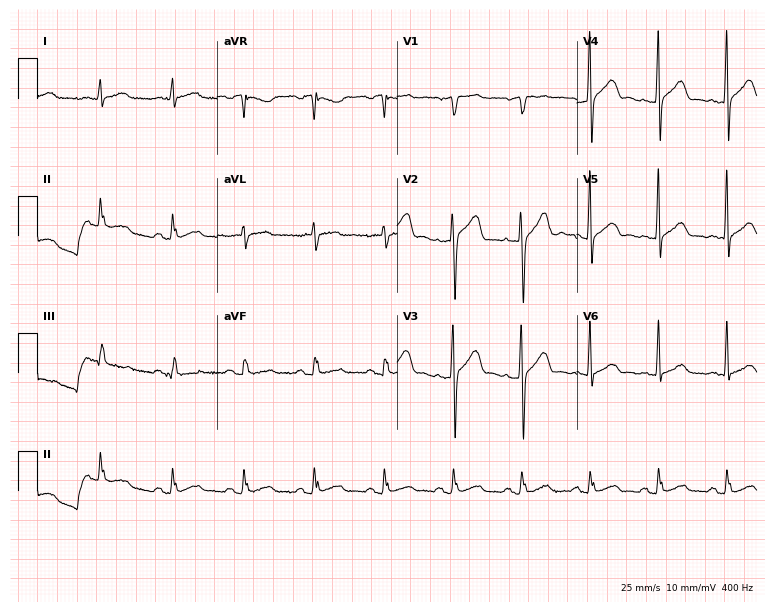
Resting 12-lead electrocardiogram (7.3-second recording at 400 Hz). Patient: a male, 57 years old. Read as a normal ECG.